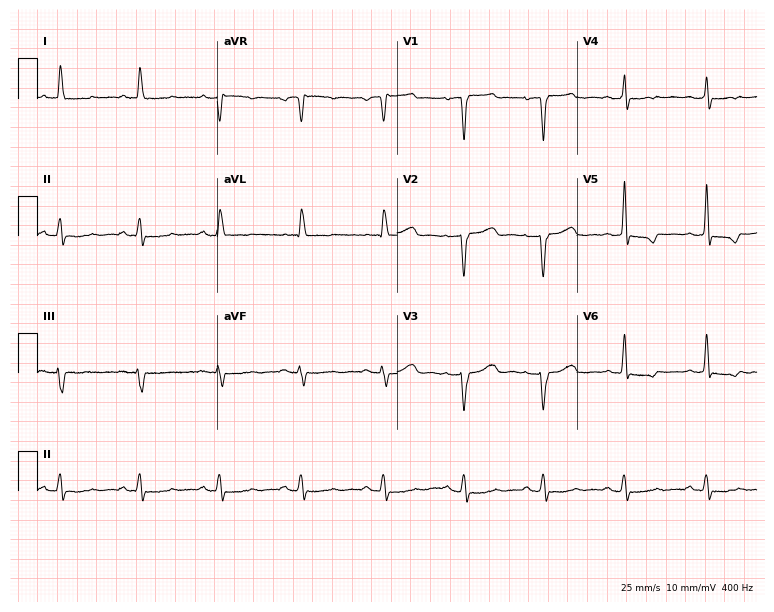
12-lead ECG from a 62-year-old woman. No first-degree AV block, right bundle branch block, left bundle branch block, sinus bradycardia, atrial fibrillation or sinus tachycardia recorded for this tracing. Findings outside these six are not listed.